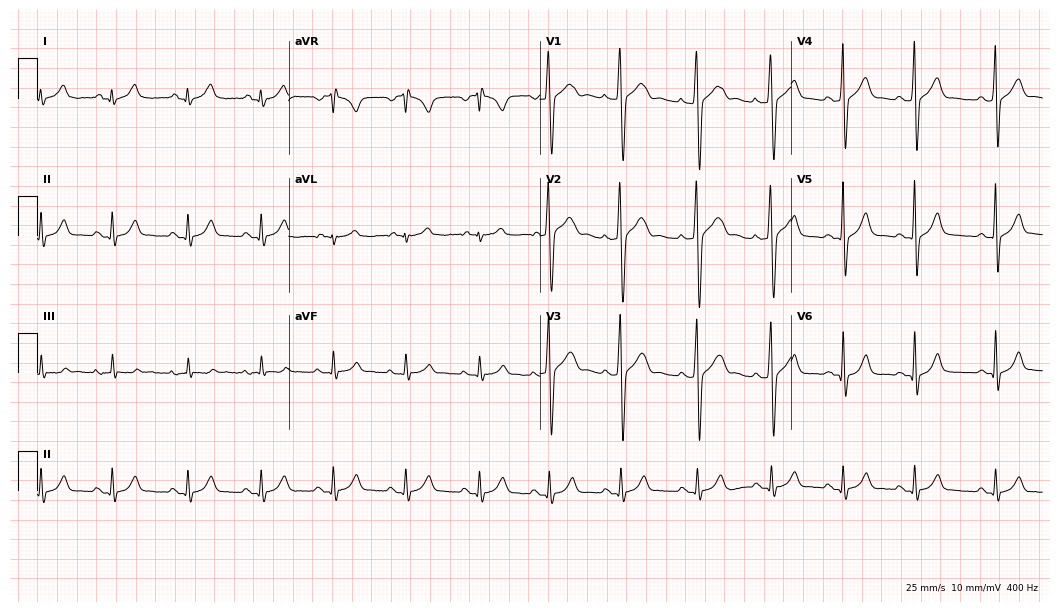
Standard 12-lead ECG recorded from a 20-year-old man (10.2-second recording at 400 Hz). Read as a normal ECG.